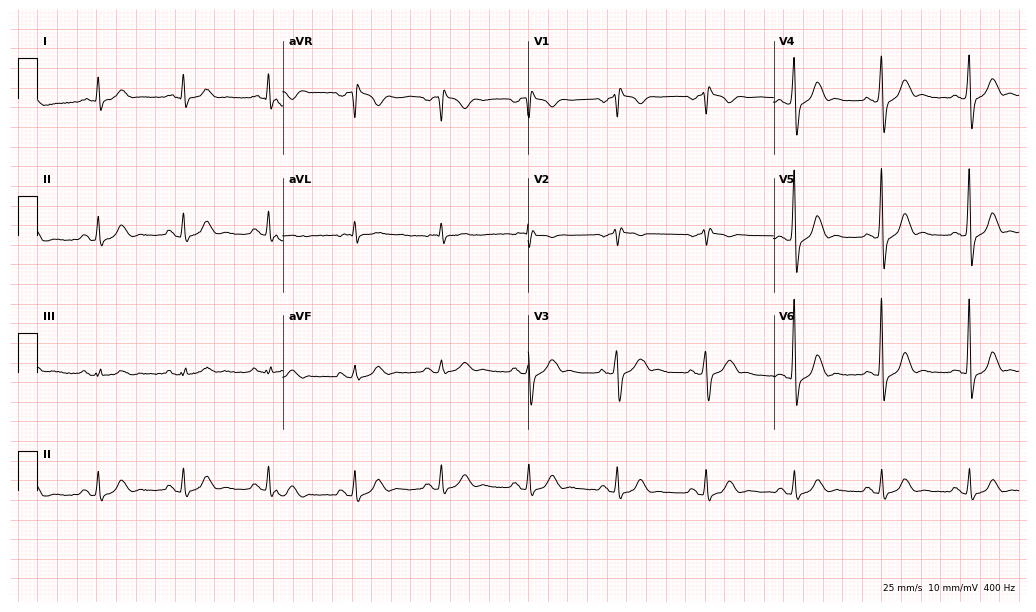
12-lead ECG (10-second recording at 400 Hz) from a male, 60 years old. Screened for six findings — first-degree AV block, right bundle branch block, left bundle branch block, sinus bradycardia, atrial fibrillation, sinus tachycardia — none is recorded.